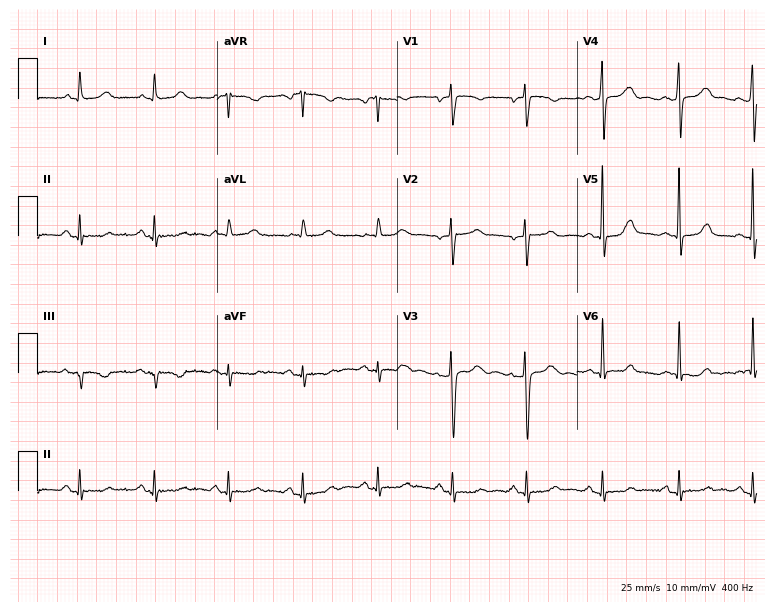
Resting 12-lead electrocardiogram (7.3-second recording at 400 Hz). Patient: a 41-year-old female. None of these six findings is recorded: first-degree AV block, right bundle branch block, left bundle branch block, sinus bradycardia, atrial fibrillation, sinus tachycardia.